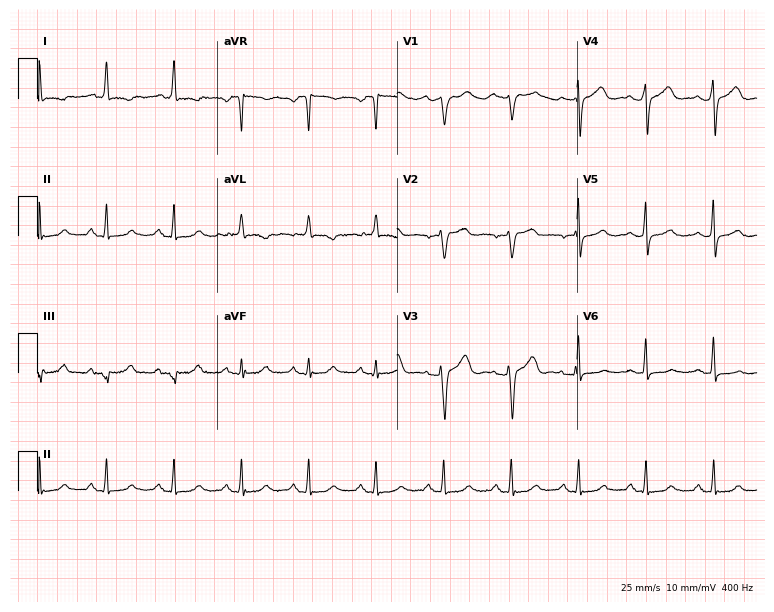
12-lead ECG (7.3-second recording at 400 Hz) from a 67-year-old woman. Screened for six findings — first-degree AV block, right bundle branch block (RBBB), left bundle branch block (LBBB), sinus bradycardia, atrial fibrillation (AF), sinus tachycardia — none is recorded.